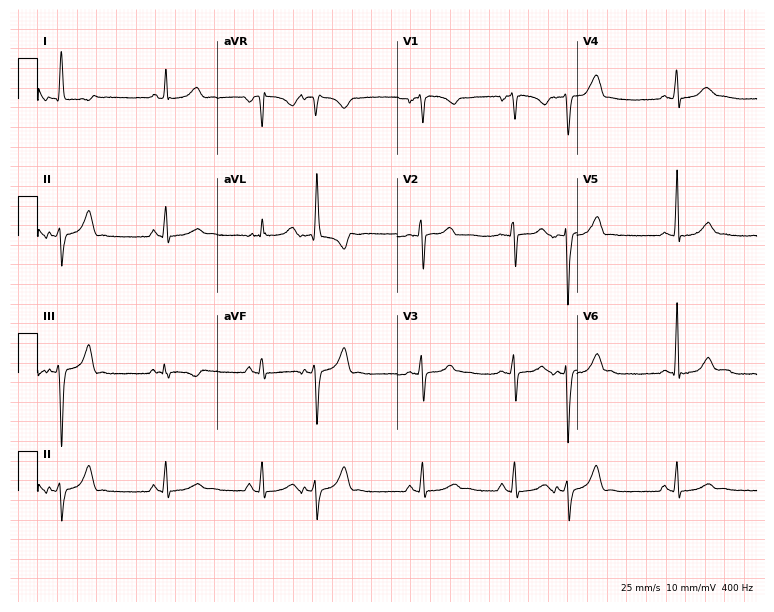
12-lead ECG (7.3-second recording at 400 Hz) from a female patient, 27 years old. Screened for six findings — first-degree AV block, right bundle branch block (RBBB), left bundle branch block (LBBB), sinus bradycardia, atrial fibrillation (AF), sinus tachycardia — none is recorded.